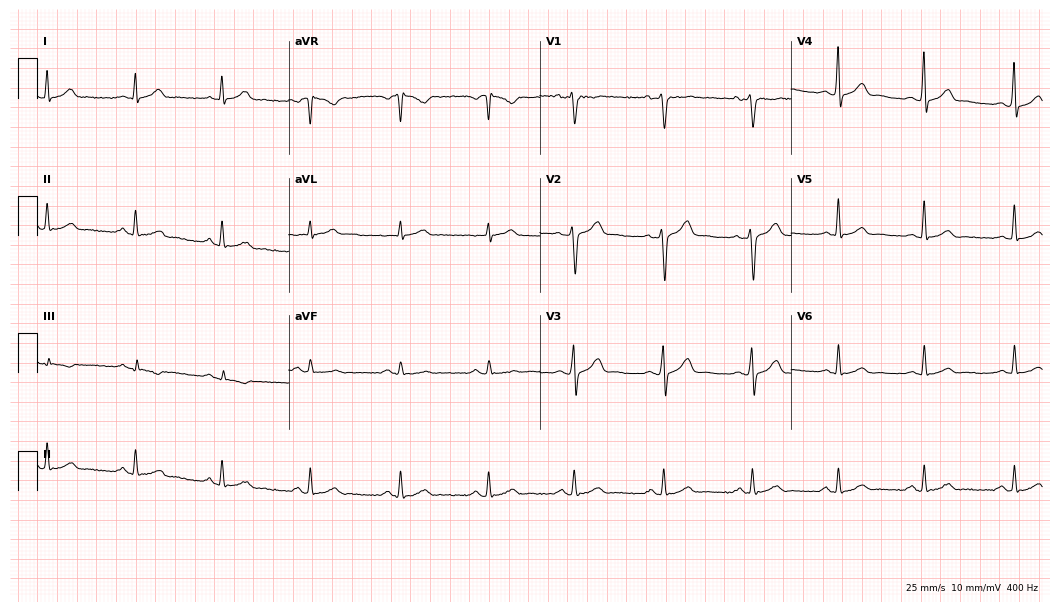
12-lead ECG from a man, 47 years old. Screened for six findings — first-degree AV block, right bundle branch block, left bundle branch block, sinus bradycardia, atrial fibrillation, sinus tachycardia — none is recorded.